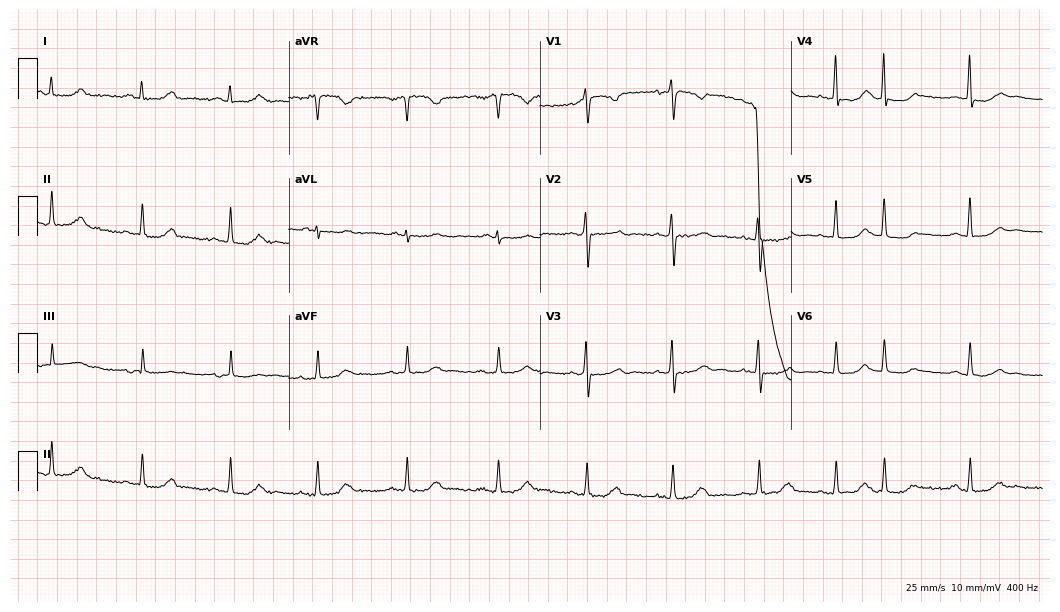
Standard 12-lead ECG recorded from a 60-year-old female (10.2-second recording at 400 Hz). None of these six findings is recorded: first-degree AV block, right bundle branch block, left bundle branch block, sinus bradycardia, atrial fibrillation, sinus tachycardia.